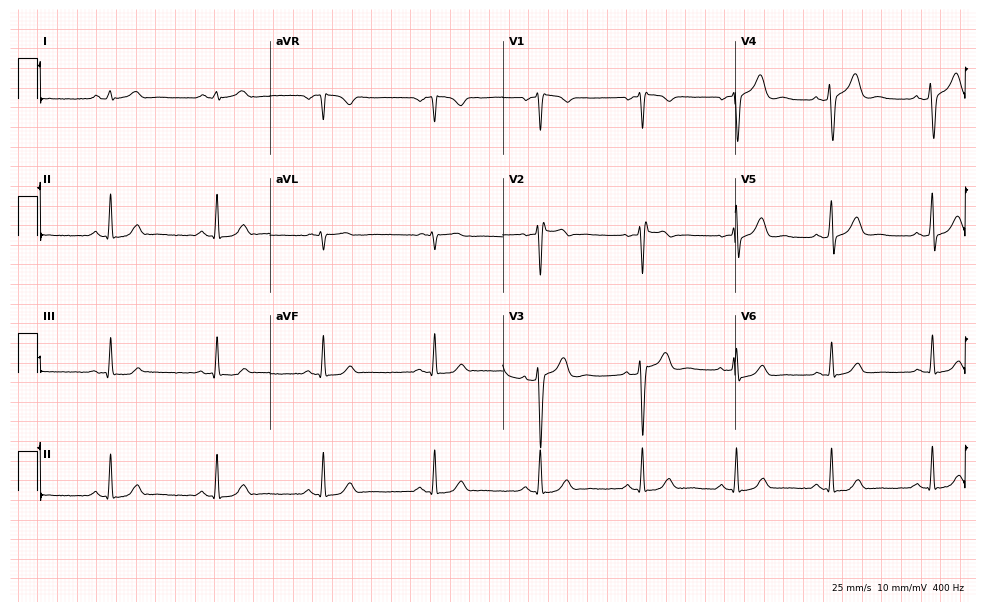
Resting 12-lead electrocardiogram (9.5-second recording at 400 Hz). Patient: a 46-year-old man. None of these six findings is recorded: first-degree AV block, right bundle branch block, left bundle branch block, sinus bradycardia, atrial fibrillation, sinus tachycardia. Only these six findings were labelled.